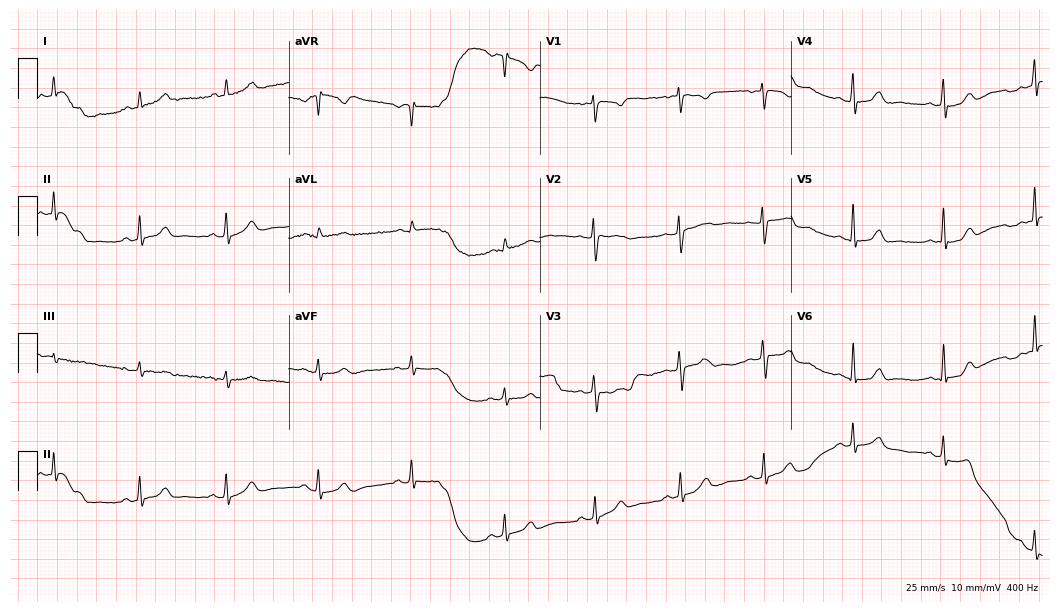
Electrocardiogram (10.2-second recording at 400 Hz), a 35-year-old woman. Overall reading on record: normal ECG.